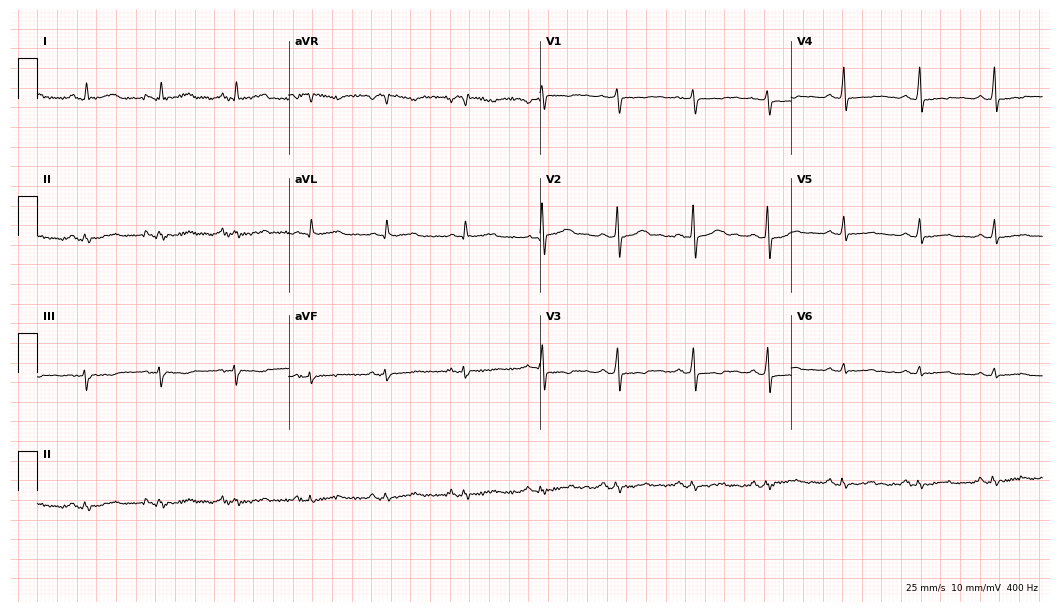
12-lead ECG from a 30-year-old female patient. Screened for six findings — first-degree AV block, right bundle branch block, left bundle branch block, sinus bradycardia, atrial fibrillation, sinus tachycardia — none is recorded. Findings outside these six are not listed.